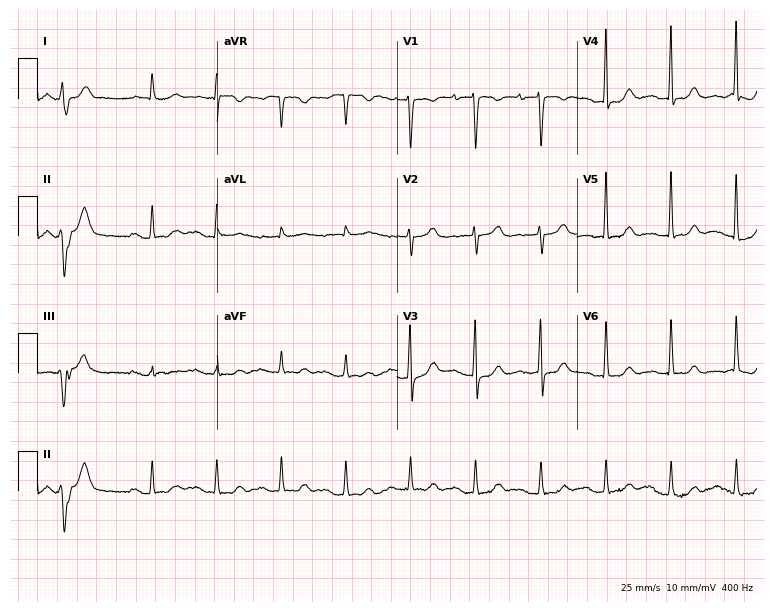
12-lead ECG from a female, 78 years old. Screened for six findings — first-degree AV block, right bundle branch block, left bundle branch block, sinus bradycardia, atrial fibrillation, sinus tachycardia — none is recorded. Other findings, if any, are not listed.